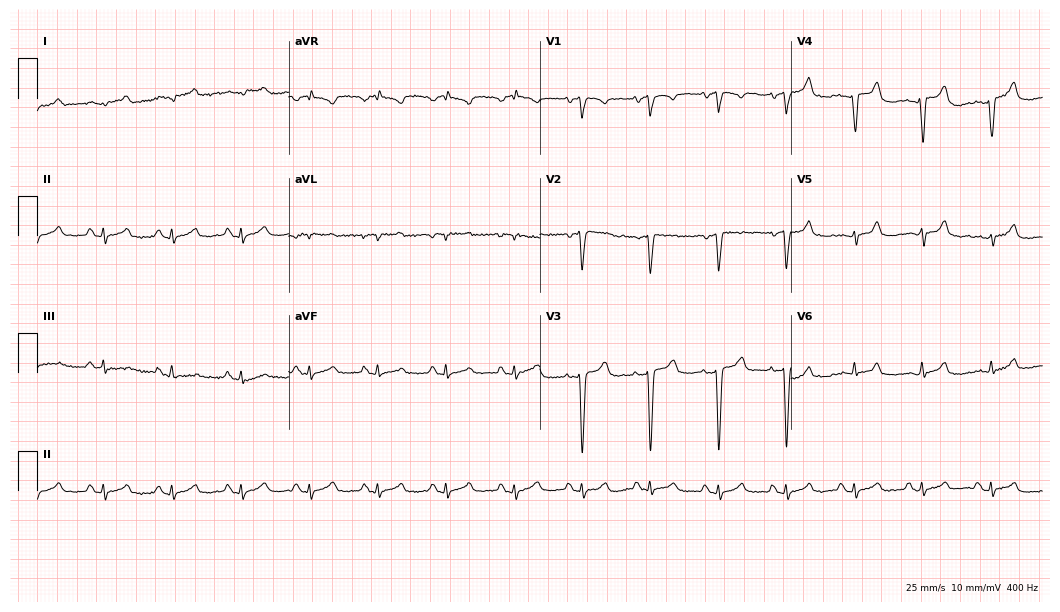
Electrocardiogram, a male, 71 years old. Of the six screened findings (first-degree AV block, right bundle branch block (RBBB), left bundle branch block (LBBB), sinus bradycardia, atrial fibrillation (AF), sinus tachycardia), none is recorded. Only these six findings were labelled.